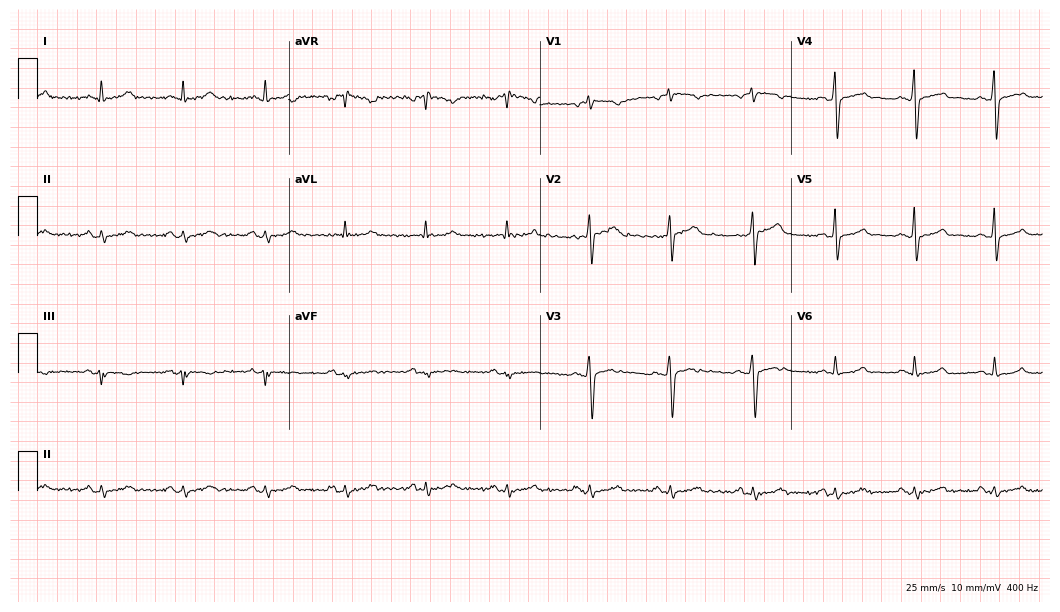
12-lead ECG (10.2-second recording at 400 Hz) from a man, 45 years old. Labelled as a normal ECG.